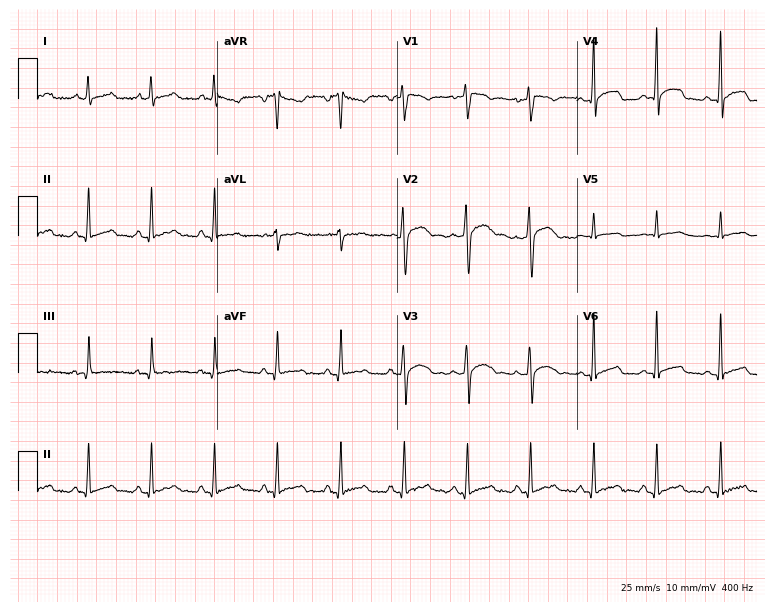
12-lead ECG from a male patient, 40 years old. Recorded interpretation: within normal limits.